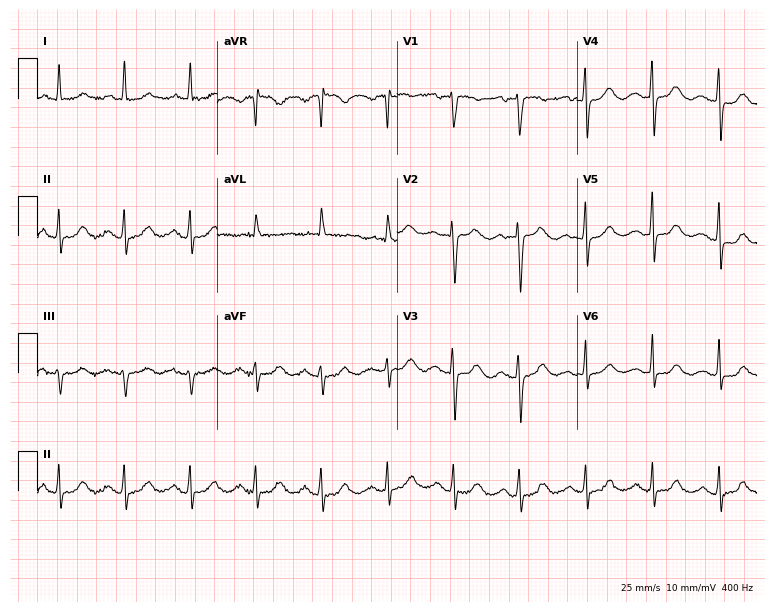
ECG (7.3-second recording at 400 Hz) — a female, 61 years old. Labelled as a normal ECG.